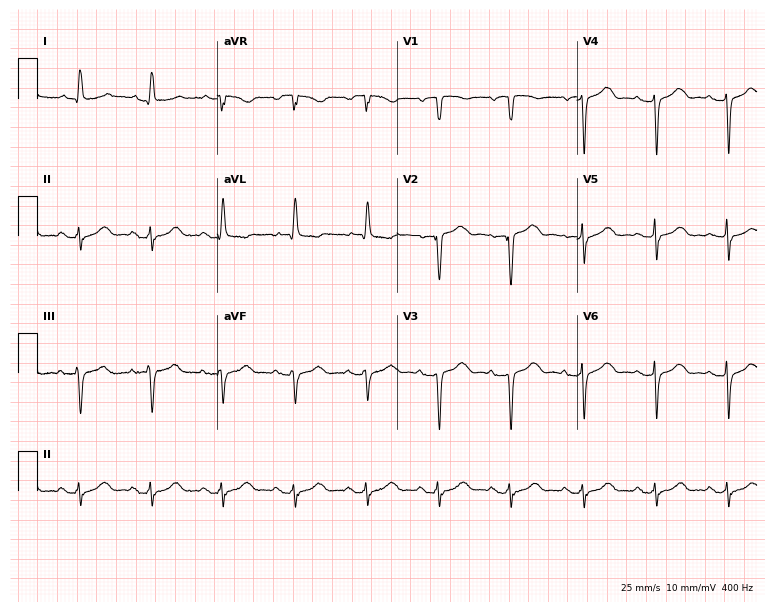
Electrocardiogram, an 83-year-old woman. Of the six screened findings (first-degree AV block, right bundle branch block (RBBB), left bundle branch block (LBBB), sinus bradycardia, atrial fibrillation (AF), sinus tachycardia), none is recorded. Findings outside these six are not listed.